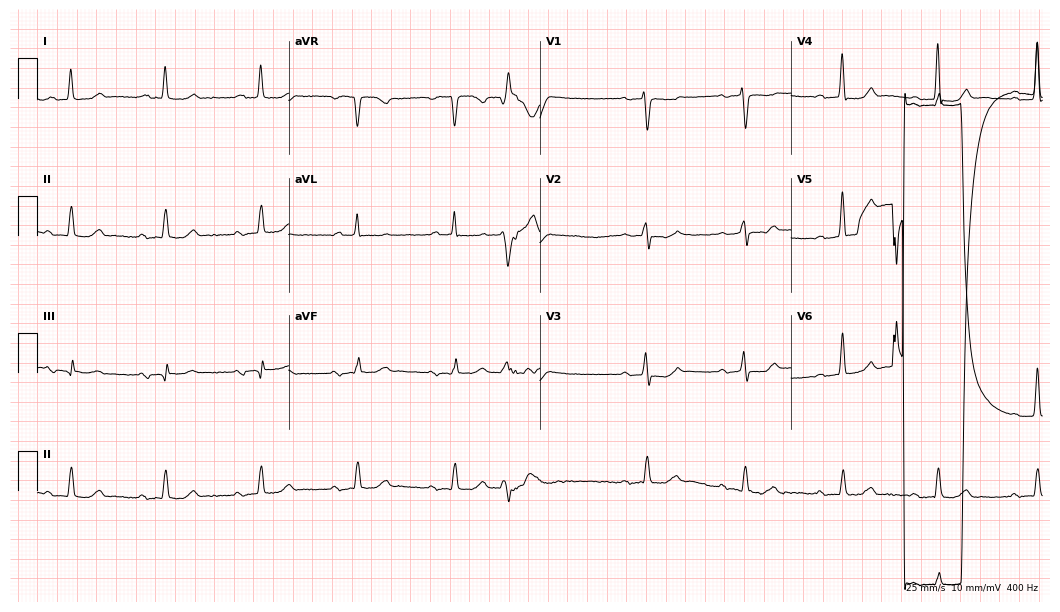
ECG (10.2-second recording at 400 Hz) — a woman, 71 years old. Findings include first-degree AV block.